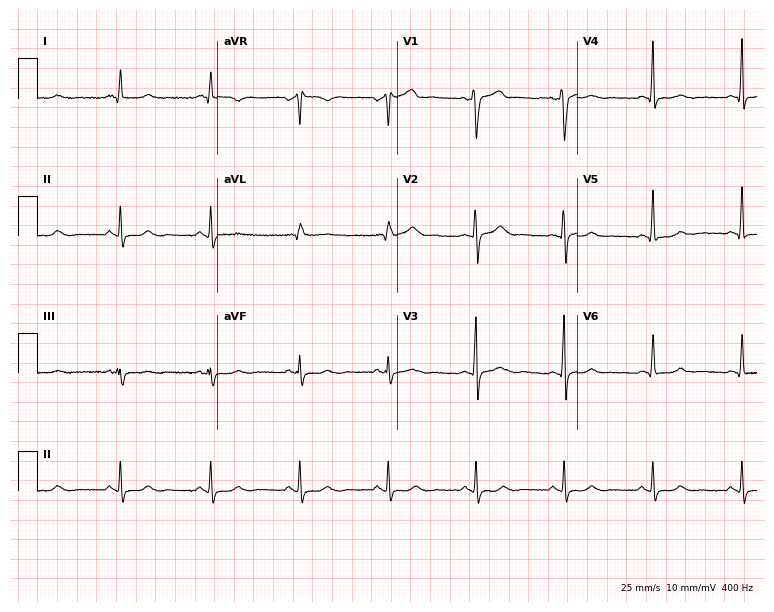
Electrocardiogram, a male, 42 years old. Of the six screened findings (first-degree AV block, right bundle branch block, left bundle branch block, sinus bradycardia, atrial fibrillation, sinus tachycardia), none is recorded. Other findings, if any, are not listed.